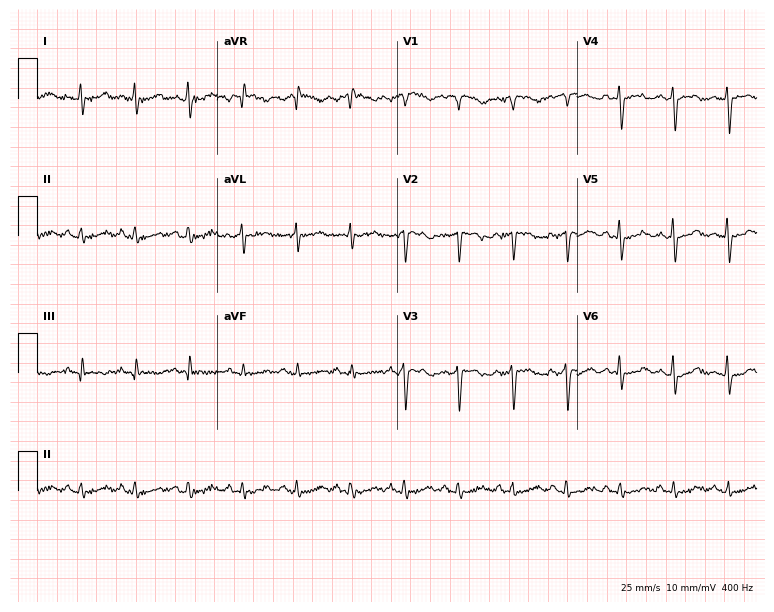
ECG — a 62-year-old female patient. Findings include sinus tachycardia (a sinus rate of 100 beats per minute or more).